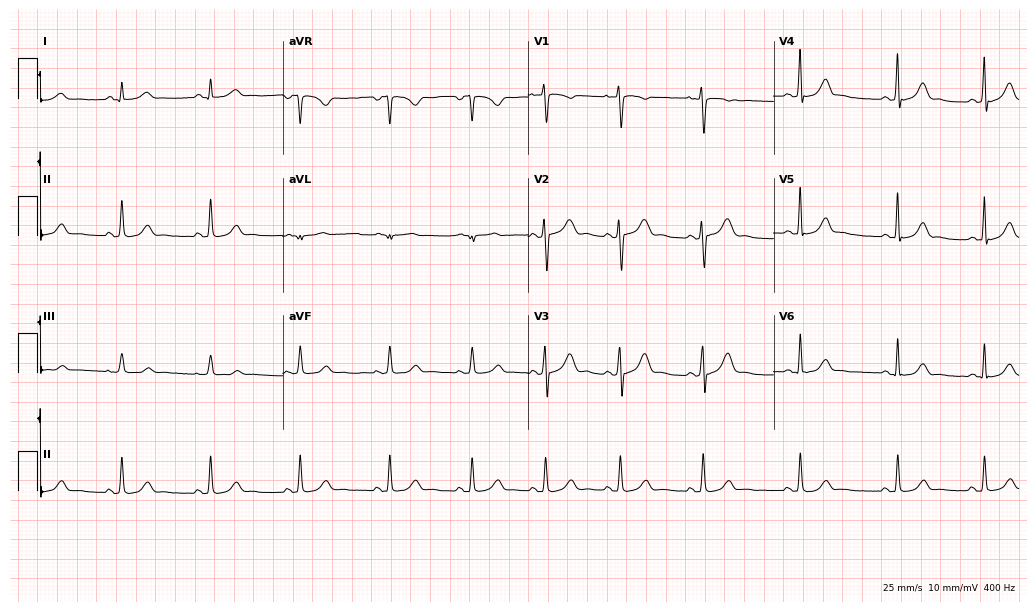
12-lead ECG from a female, 22 years old. Labelled as a normal ECG.